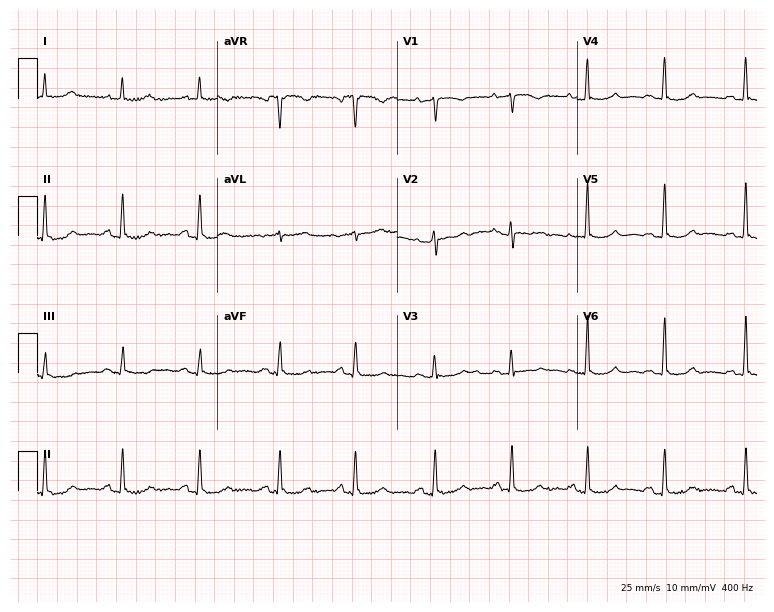
Standard 12-lead ECG recorded from a female, 69 years old. Read as a normal ECG.